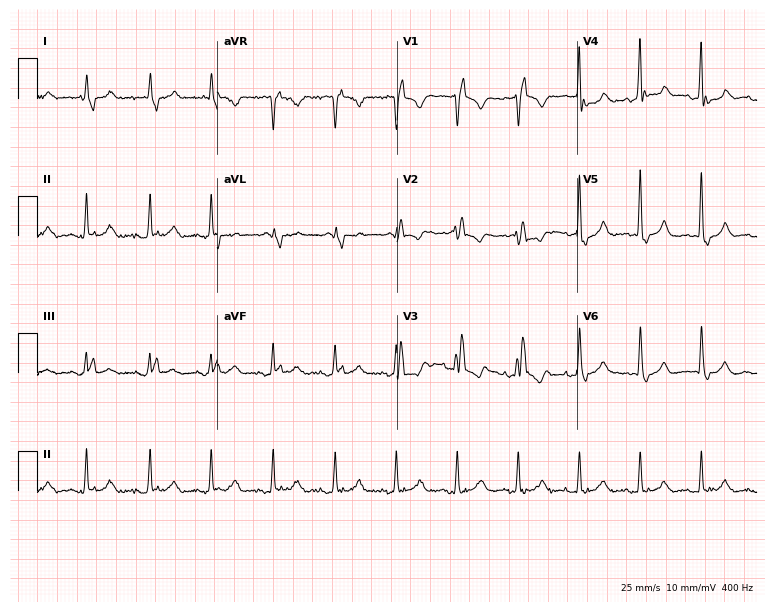
Electrocardiogram, a 76-year-old male. Interpretation includes right bundle branch block (RBBB).